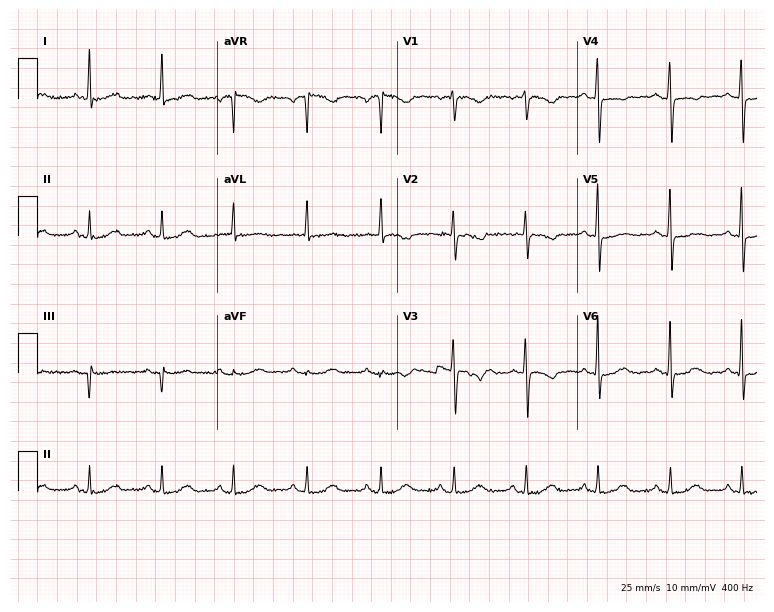
Resting 12-lead electrocardiogram. Patient: a 63-year-old female. None of these six findings is recorded: first-degree AV block, right bundle branch block, left bundle branch block, sinus bradycardia, atrial fibrillation, sinus tachycardia.